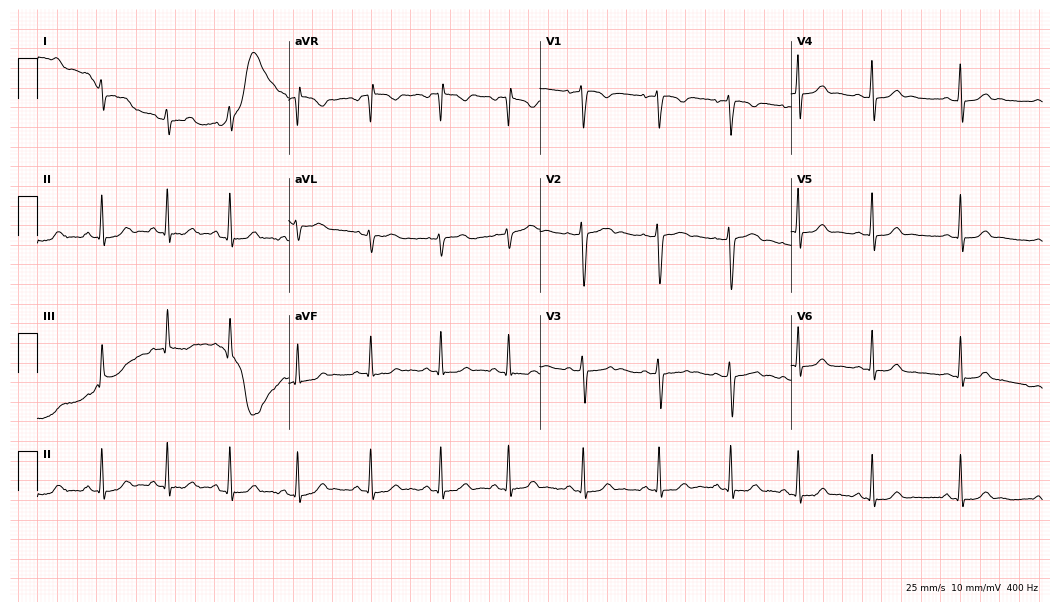
12-lead ECG from a 30-year-old woman. No first-degree AV block, right bundle branch block, left bundle branch block, sinus bradycardia, atrial fibrillation or sinus tachycardia recorded for this tracing. Other findings, if any, are not listed.